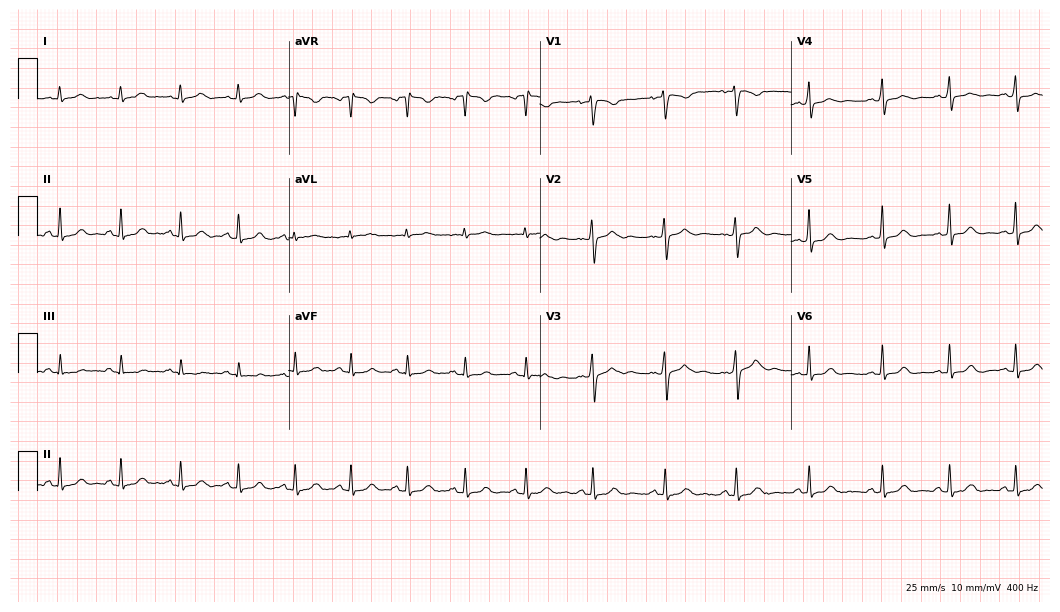
12-lead ECG from a woman, 24 years old (10.2-second recording at 400 Hz). Recorded interpretation: within normal limits.